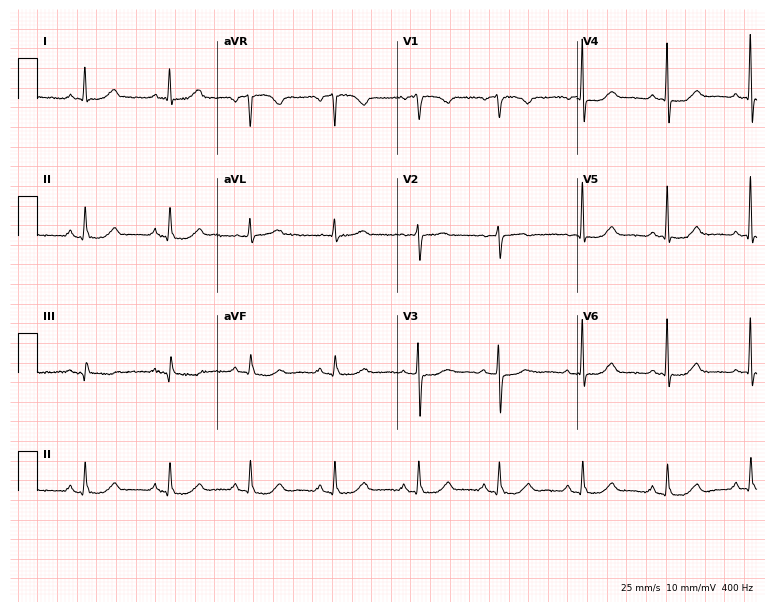
12-lead ECG from a female patient, 71 years old. Recorded interpretation: within normal limits.